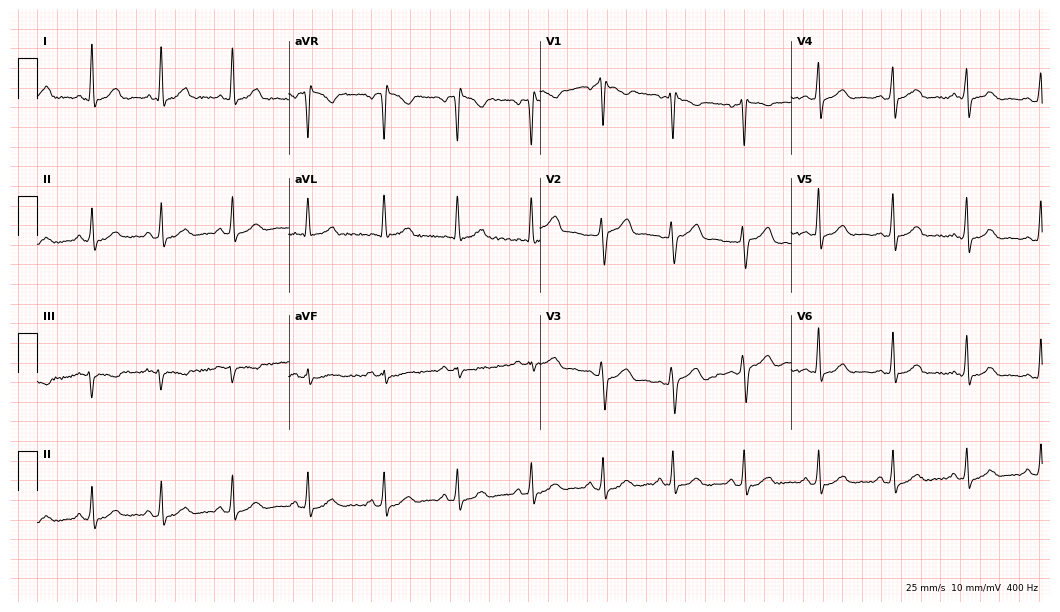
Electrocardiogram, a 42-year-old woman. Overall reading on record: normal ECG.